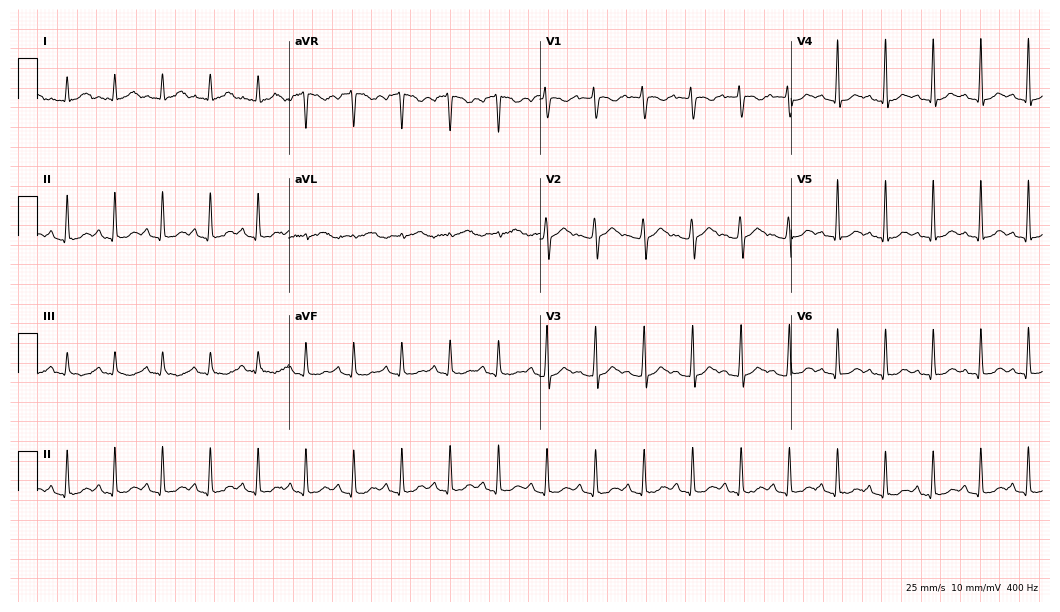
ECG (10.2-second recording at 400 Hz) — a 38-year-old woman. Findings include sinus tachycardia (a sinus rate of 100 beats per minute or more).